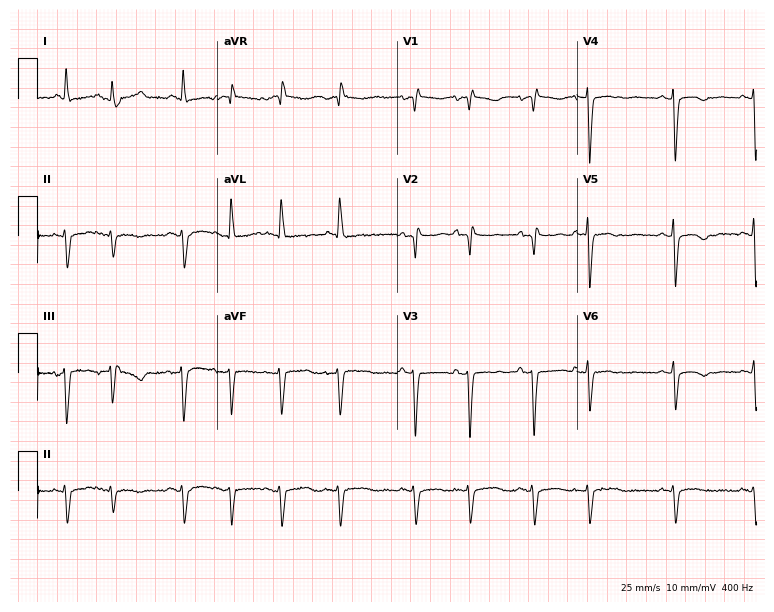
ECG (7.3-second recording at 400 Hz) — an 84-year-old female. Screened for six findings — first-degree AV block, right bundle branch block, left bundle branch block, sinus bradycardia, atrial fibrillation, sinus tachycardia — none is recorded. Findings outside these six are not listed.